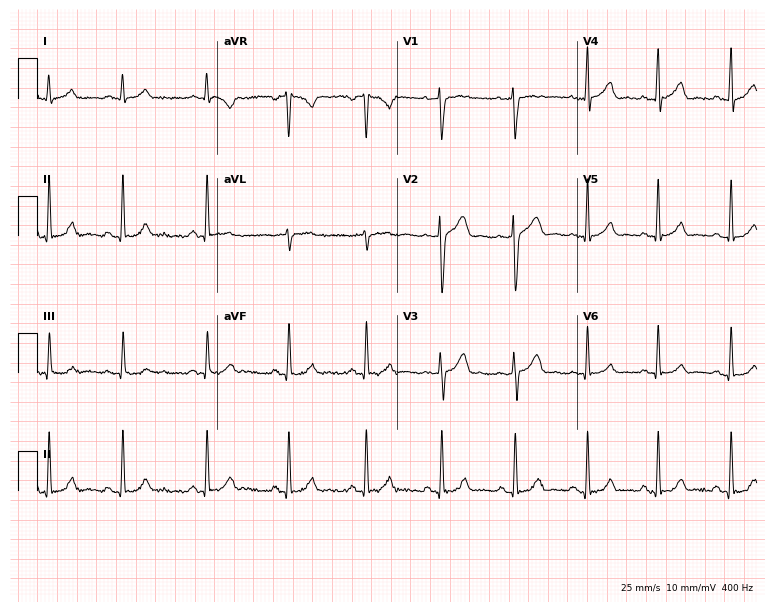
12-lead ECG (7.3-second recording at 400 Hz) from a male, 28 years old. Screened for six findings — first-degree AV block, right bundle branch block (RBBB), left bundle branch block (LBBB), sinus bradycardia, atrial fibrillation (AF), sinus tachycardia — none is recorded. Only these six findings were labelled.